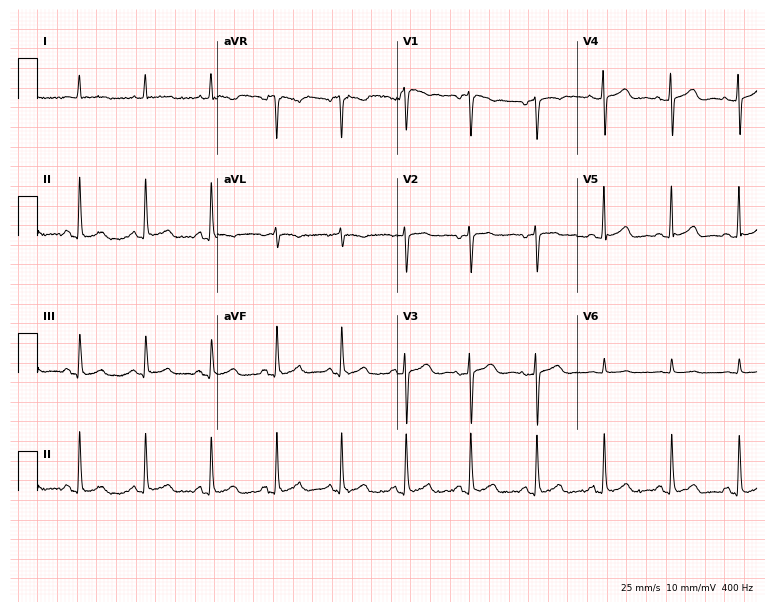
Resting 12-lead electrocardiogram (7.3-second recording at 400 Hz). Patient: a female, 61 years old. None of these six findings is recorded: first-degree AV block, right bundle branch block, left bundle branch block, sinus bradycardia, atrial fibrillation, sinus tachycardia.